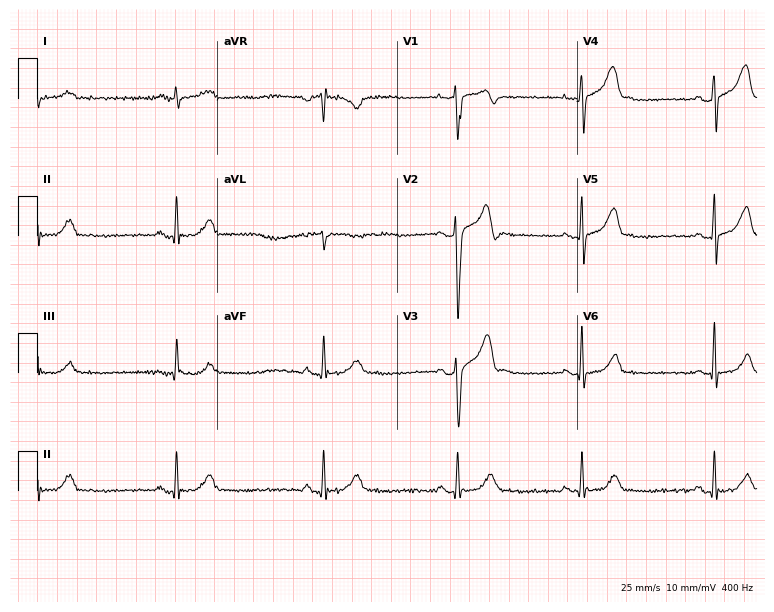
Standard 12-lead ECG recorded from a 22-year-old male. The tracing shows sinus bradycardia (a sinus rate of 50 beats per minute or less).